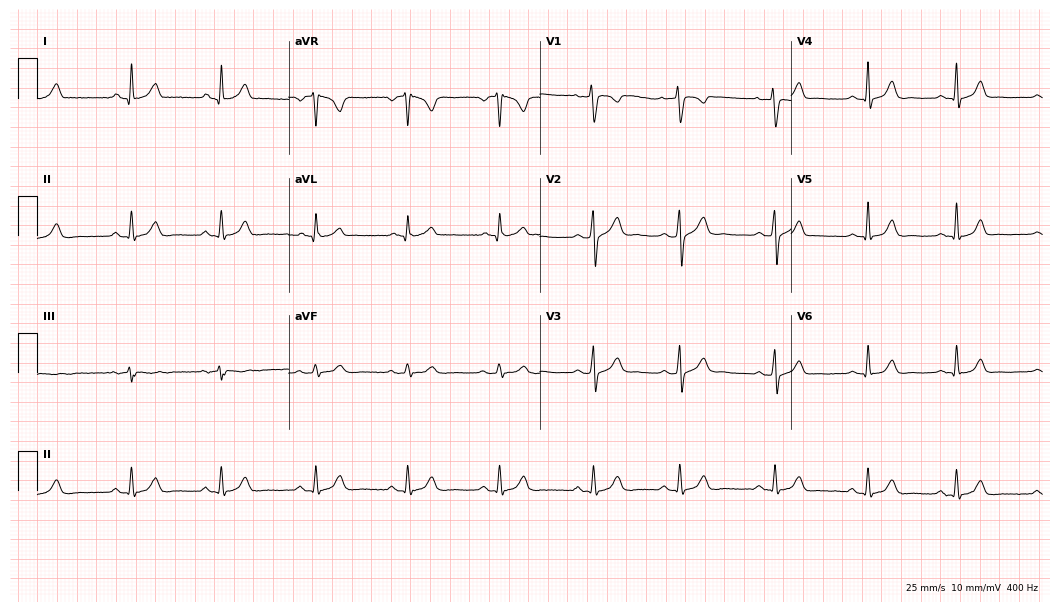
Electrocardiogram, a 25-year-old female. Overall reading on record: normal ECG.